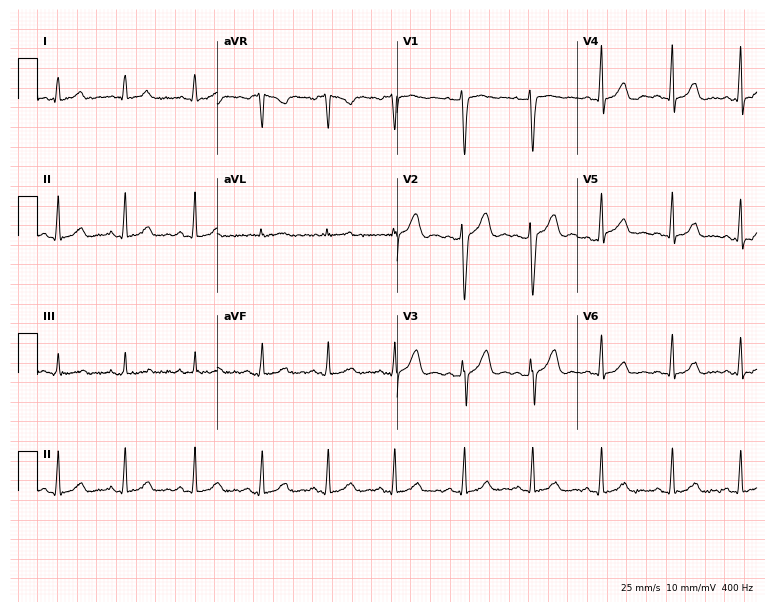
12-lead ECG (7.3-second recording at 400 Hz) from a woman, 27 years old. Labelled as a normal ECG.